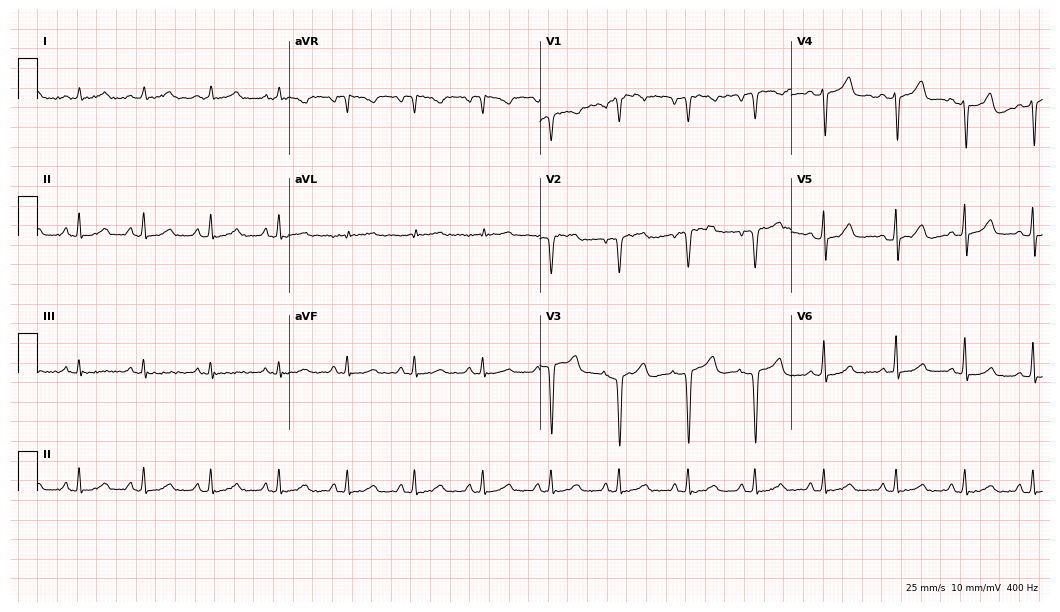
Standard 12-lead ECG recorded from a 45-year-old woman (10.2-second recording at 400 Hz). None of these six findings is recorded: first-degree AV block, right bundle branch block, left bundle branch block, sinus bradycardia, atrial fibrillation, sinus tachycardia. Only these six findings were labelled.